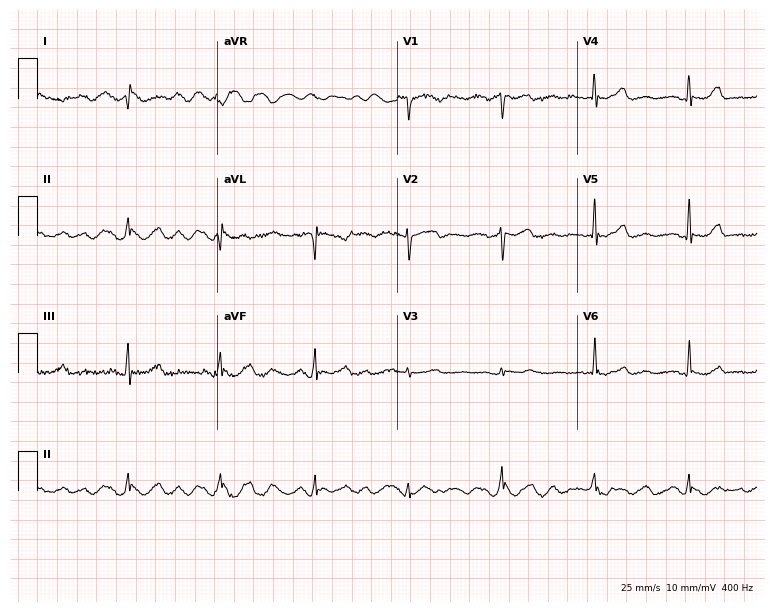
Electrocardiogram (7.3-second recording at 400 Hz), a male, 77 years old. Of the six screened findings (first-degree AV block, right bundle branch block, left bundle branch block, sinus bradycardia, atrial fibrillation, sinus tachycardia), none is recorded.